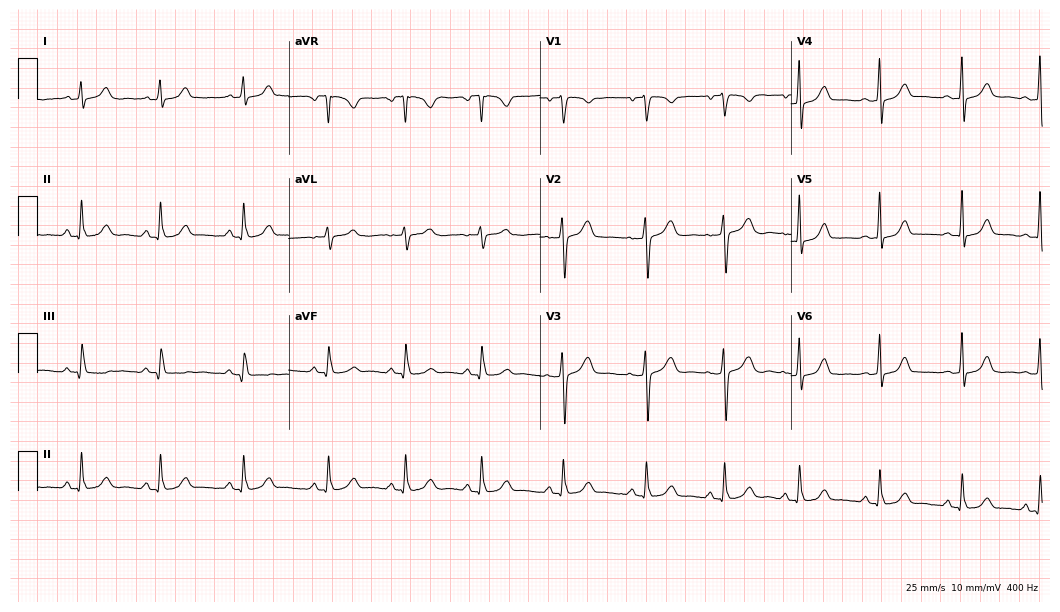
Resting 12-lead electrocardiogram. Patient: a female, 46 years old. None of these six findings is recorded: first-degree AV block, right bundle branch block (RBBB), left bundle branch block (LBBB), sinus bradycardia, atrial fibrillation (AF), sinus tachycardia. Findings outside these six are not listed.